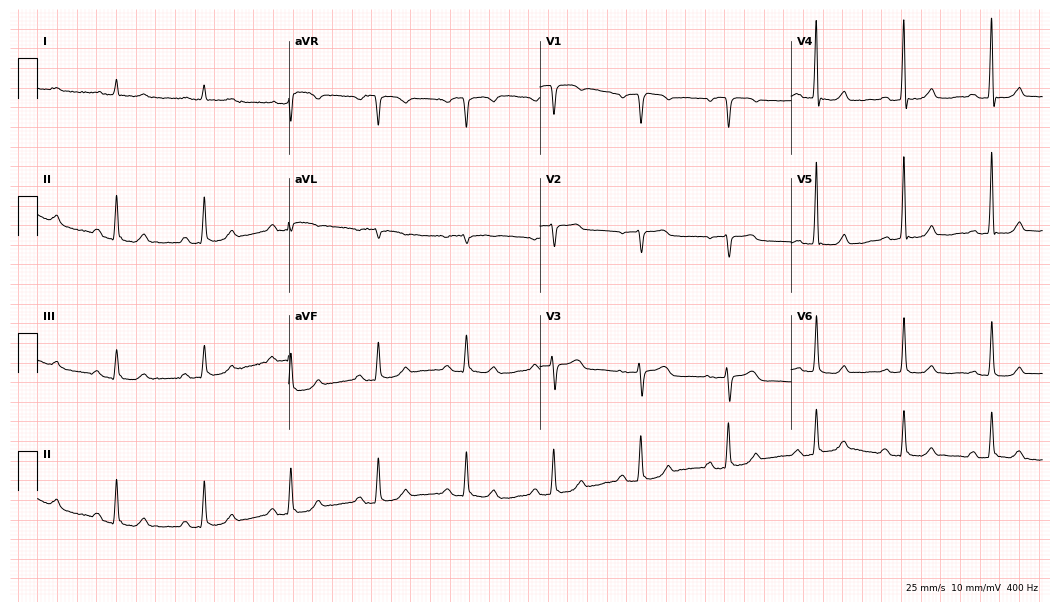
Electrocardiogram (10.2-second recording at 400 Hz), a 68-year-old woman. Overall reading on record: normal ECG.